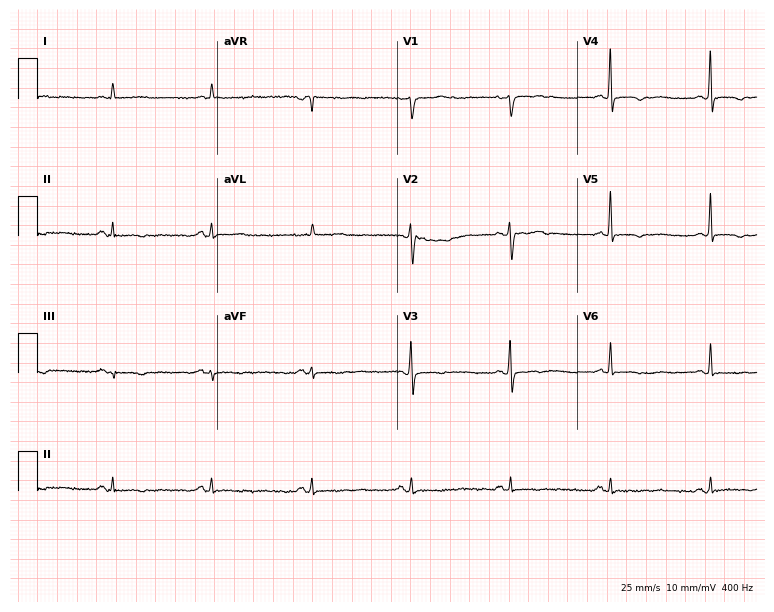
12-lead ECG from a male patient, 66 years old. No first-degree AV block, right bundle branch block (RBBB), left bundle branch block (LBBB), sinus bradycardia, atrial fibrillation (AF) or sinus tachycardia recorded for this tracing. Findings outside these six are not listed.